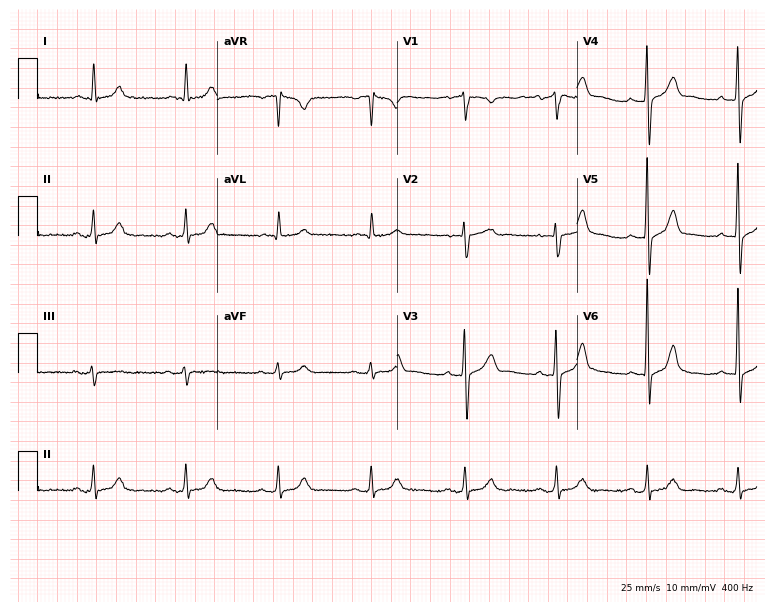
12-lead ECG from a male, 77 years old (7.3-second recording at 400 Hz). No first-degree AV block, right bundle branch block (RBBB), left bundle branch block (LBBB), sinus bradycardia, atrial fibrillation (AF) or sinus tachycardia recorded for this tracing. Other findings, if any, are not listed.